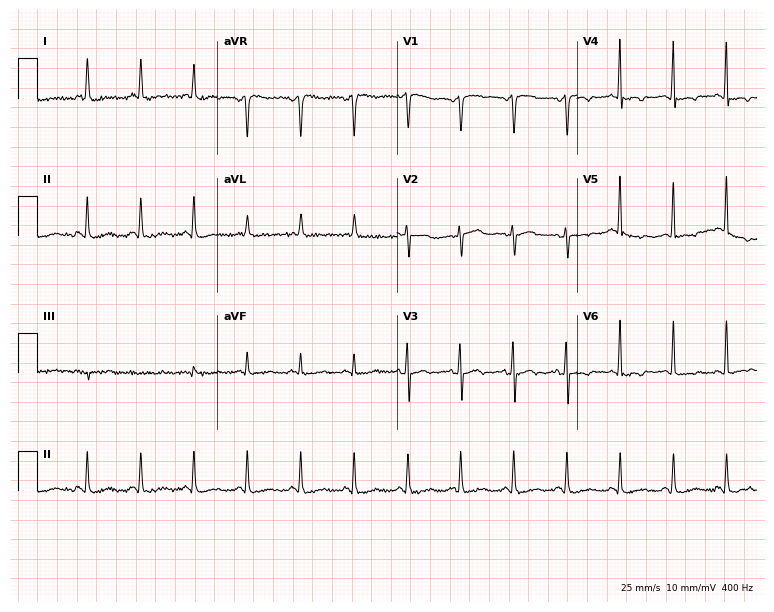
Standard 12-lead ECG recorded from a 68-year-old female. The tracing shows sinus tachycardia (a sinus rate of 100 beats per minute or more).